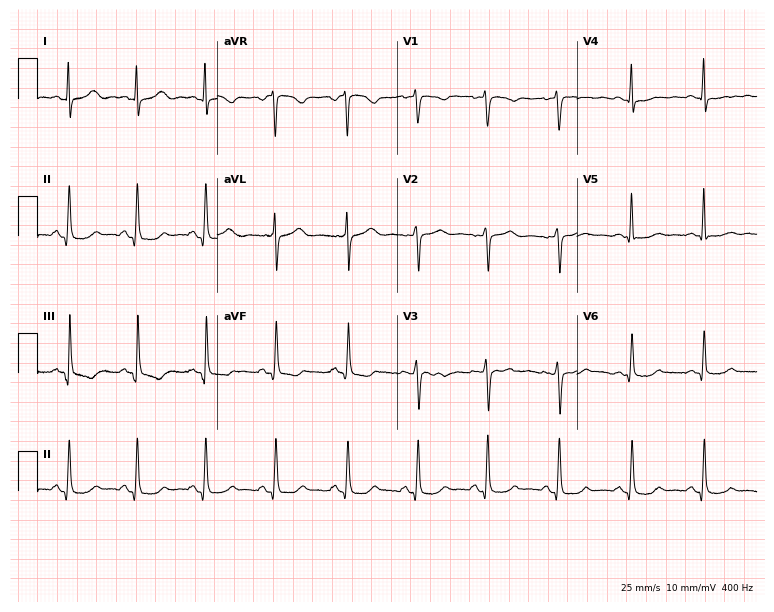
ECG — a woman, 48 years old. Screened for six findings — first-degree AV block, right bundle branch block (RBBB), left bundle branch block (LBBB), sinus bradycardia, atrial fibrillation (AF), sinus tachycardia — none is recorded. Findings outside these six are not listed.